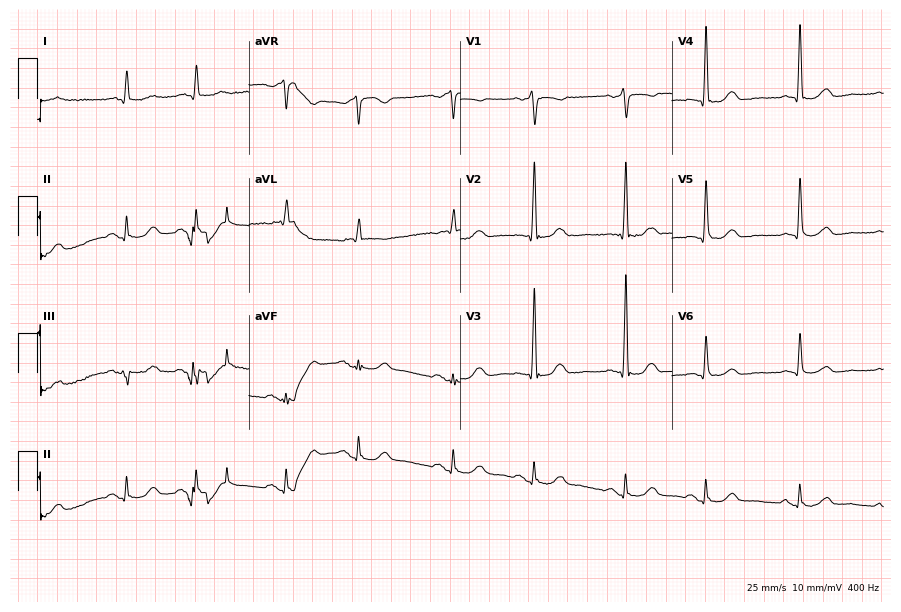
Resting 12-lead electrocardiogram. Patient: a female, 85 years old. None of these six findings is recorded: first-degree AV block, right bundle branch block, left bundle branch block, sinus bradycardia, atrial fibrillation, sinus tachycardia. Other findings, if any, are not listed.